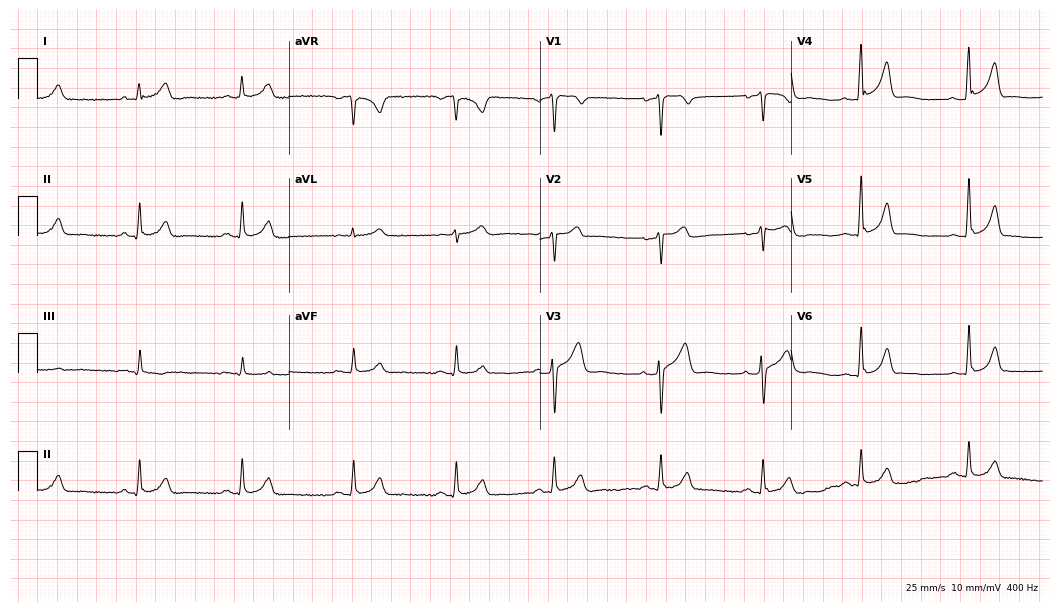
ECG — a man, 50 years old. Screened for six findings — first-degree AV block, right bundle branch block (RBBB), left bundle branch block (LBBB), sinus bradycardia, atrial fibrillation (AF), sinus tachycardia — none is recorded. Findings outside these six are not listed.